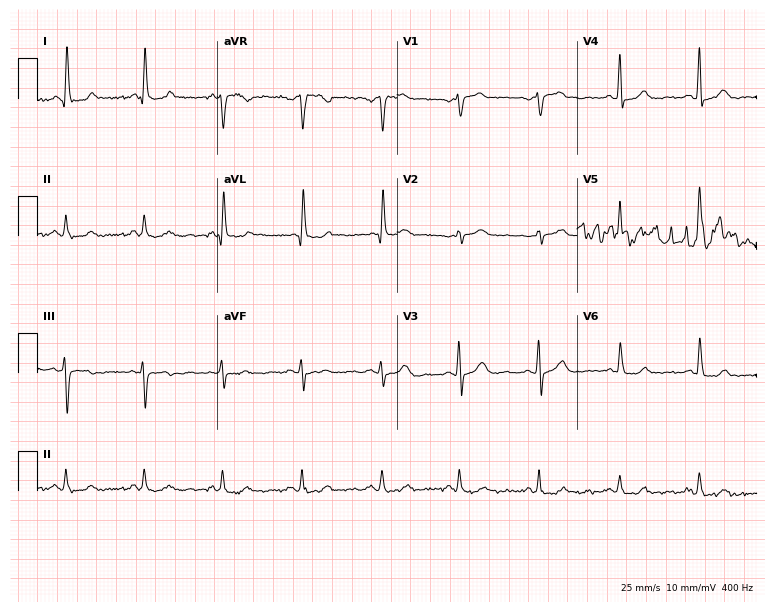
12-lead ECG from a male patient, 64 years old. No first-degree AV block, right bundle branch block (RBBB), left bundle branch block (LBBB), sinus bradycardia, atrial fibrillation (AF) or sinus tachycardia recorded for this tracing. Only these six findings were labelled.